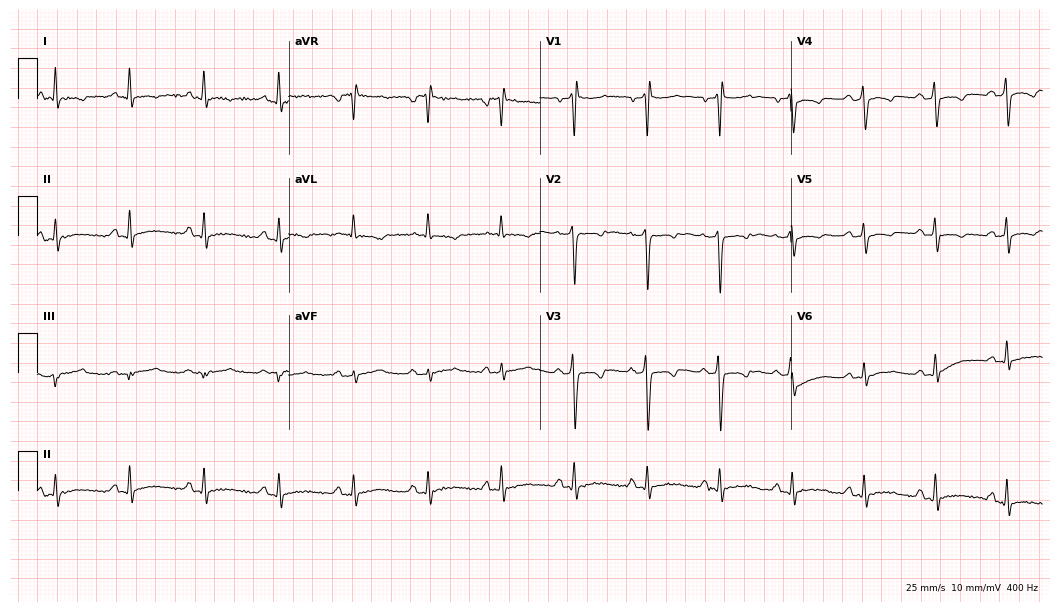
ECG — a 40-year-old man. Screened for six findings — first-degree AV block, right bundle branch block, left bundle branch block, sinus bradycardia, atrial fibrillation, sinus tachycardia — none is recorded. Only these six findings were labelled.